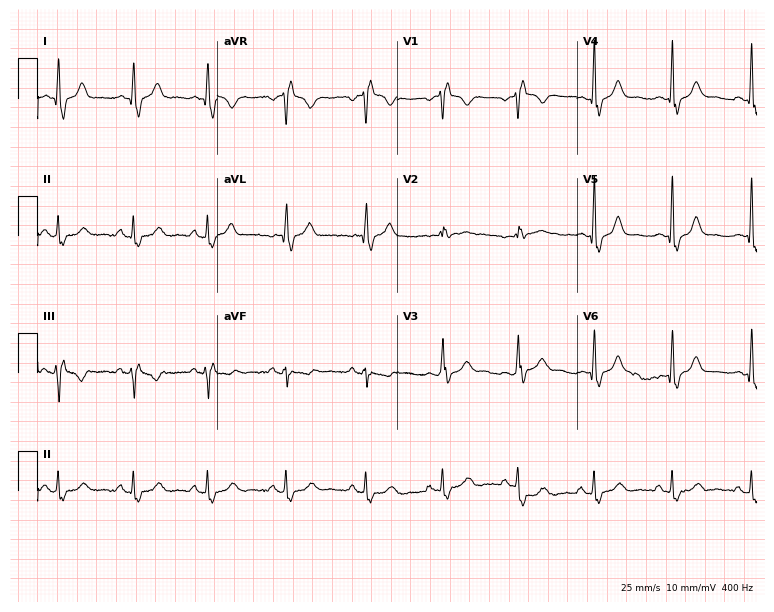
12-lead ECG (7.3-second recording at 400 Hz) from a female patient, 39 years old. Findings include right bundle branch block.